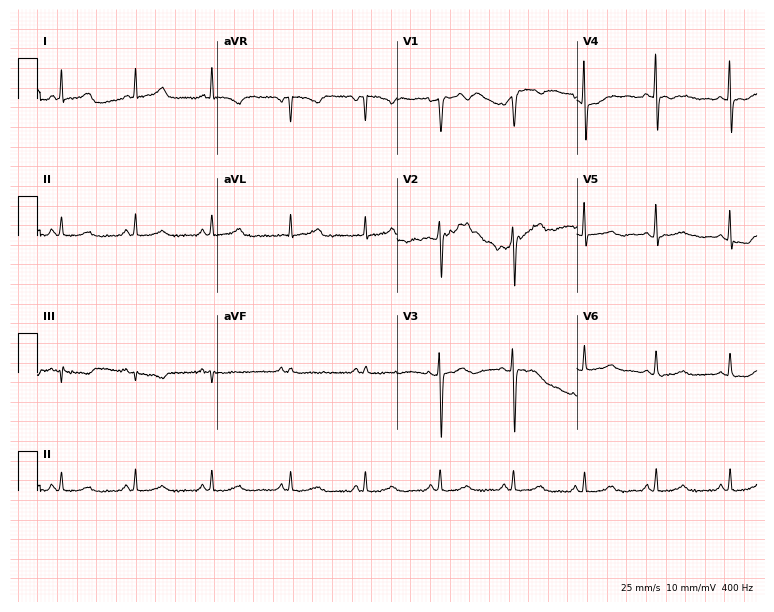
12-lead ECG (7.3-second recording at 400 Hz) from a female patient, 48 years old. Labelled as a normal ECG.